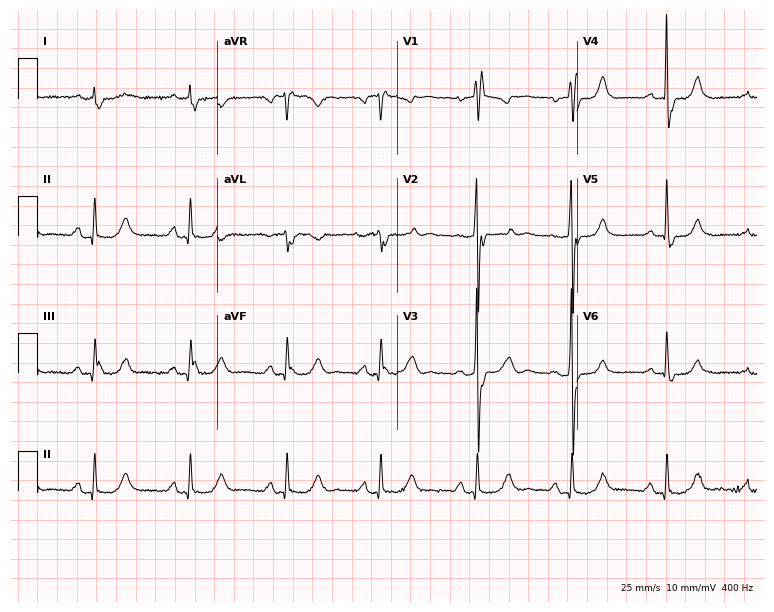
Standard 12-lead ECG recorded from a female patient, 78 years old. The tracing shows right bundle branch block.